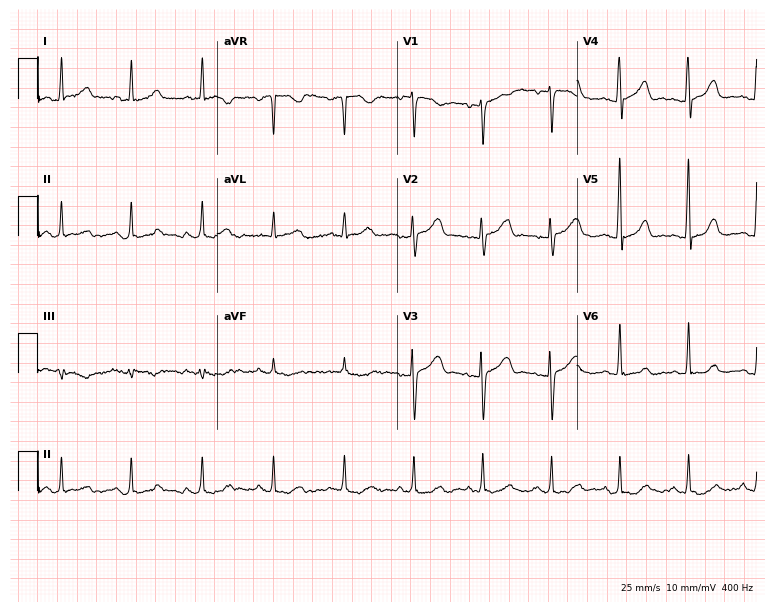
ECG — a female, 55 years old. Labelled as a normal ECG.